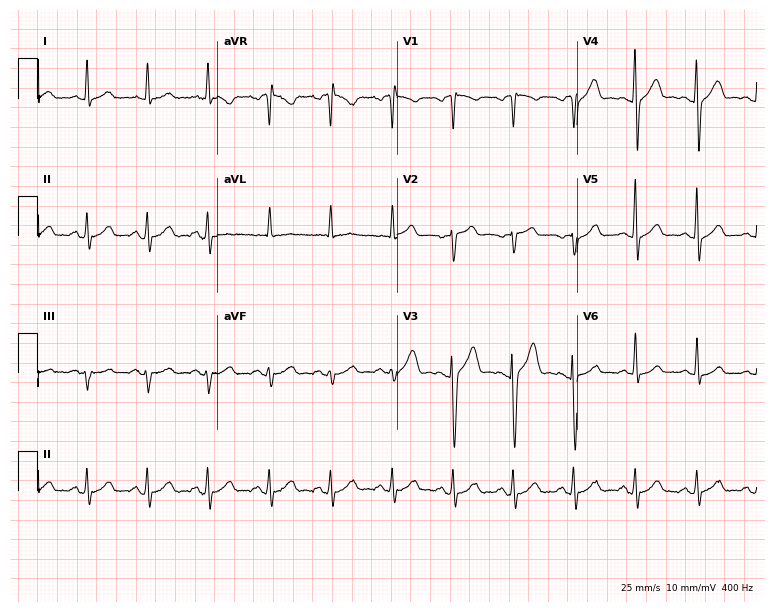
12-lead ECG from a 42-year-old male. Labelled as a normal ECG.